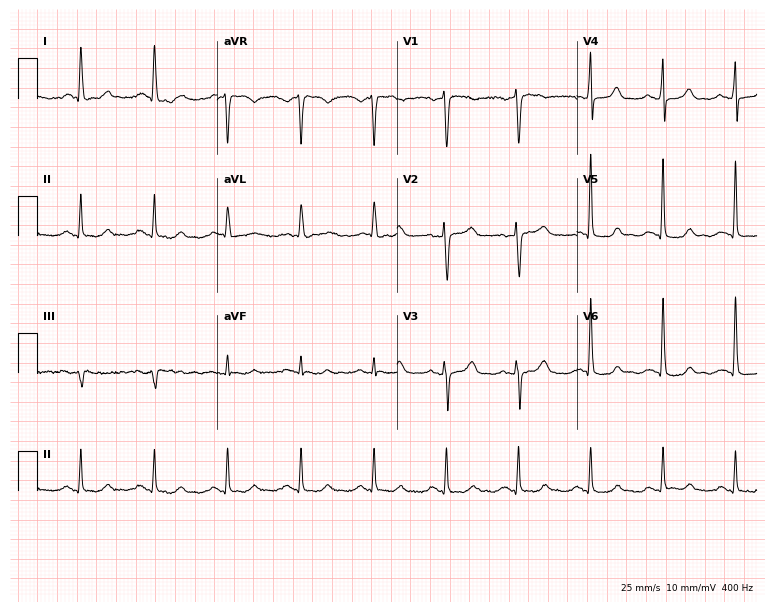
12-lead ECG from a 69-year-old female. No first-degree AV block, right bundle branch block, left bundle branch block, sinus bradycardia, atrial fibrillation or sinus tachycardia recorded for this tracing. Only these six findings were labelled.